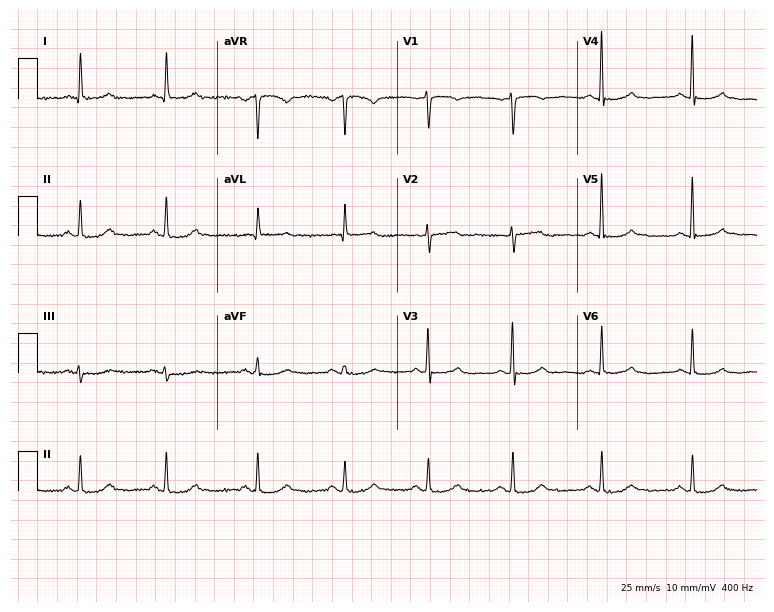
12-lead ECG from a female patient, 66 years old (7.3-second recording at 400 Hz). Recorded interpretation: within normal limits.